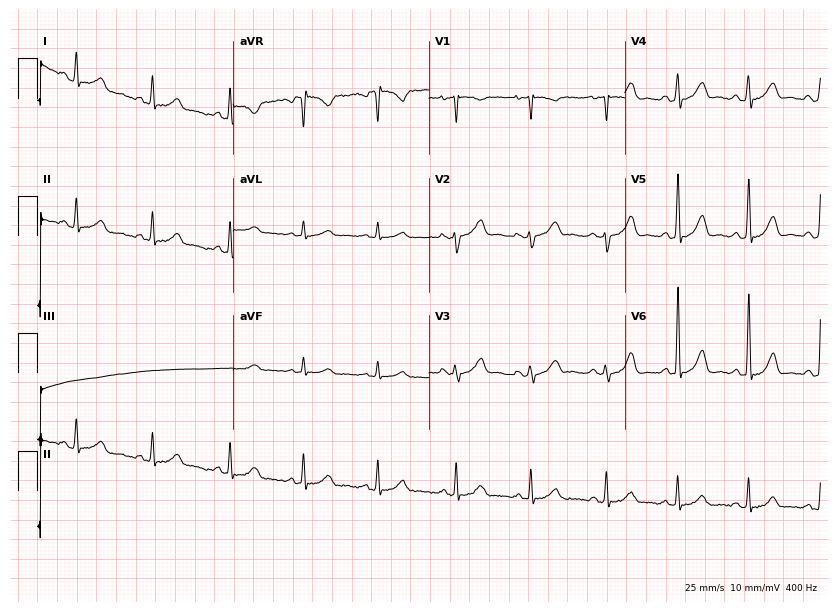
ECG — a 30-year-old female. Screened for six findings — first-degree AV block, right bundle branch block, left bundle branch block, sinus bradycardia, atrial fibrillation, sinus tachycardia — none is recorded.